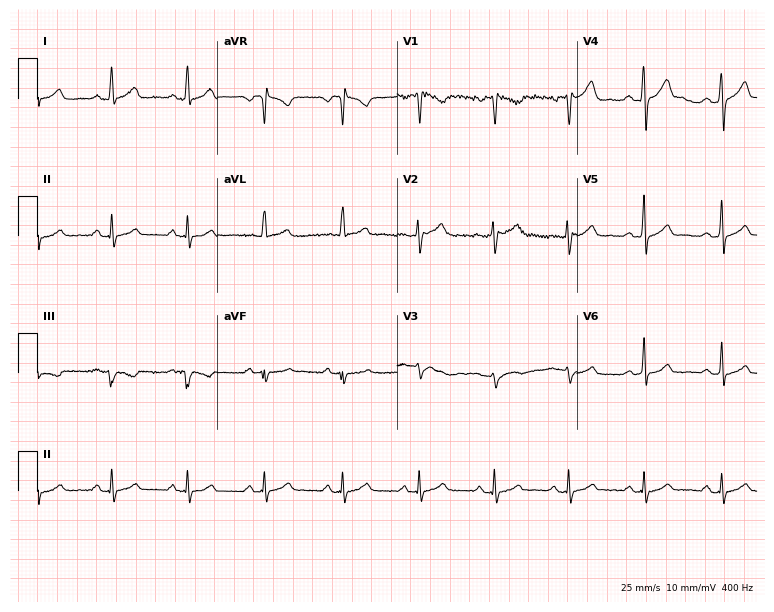
ECG — a male, 43 years old. Labelled as a normal ECG.